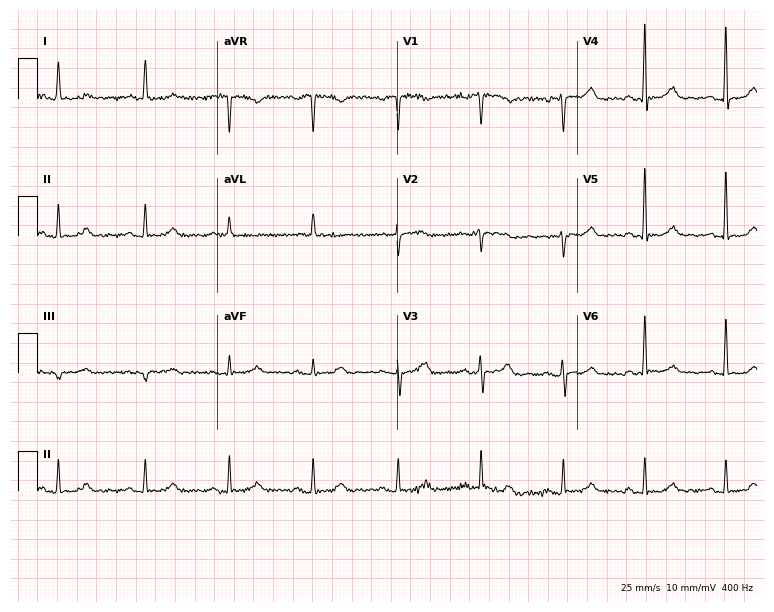
Resting 12-lead electrocardiogram. Patient: a 66-year-old female. Read as a normal ECG.